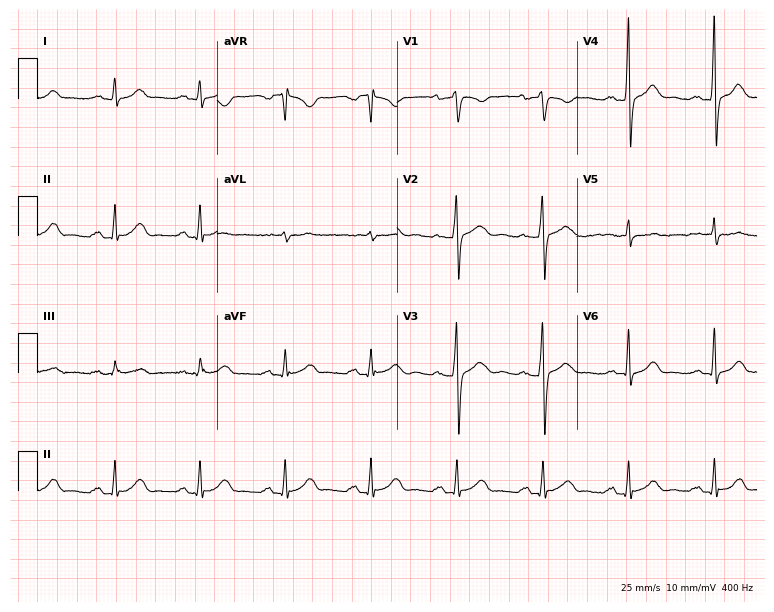
12-lead ECG from a male, 55 years old (7.3-second recording at 400 Hz). No first-degree AV block, right bundle branch block, left bundle branch block, sinus bradycardia, atrial fibrillation or sinus tachycardia recorded for this tracing. Only these six findings were labelled.